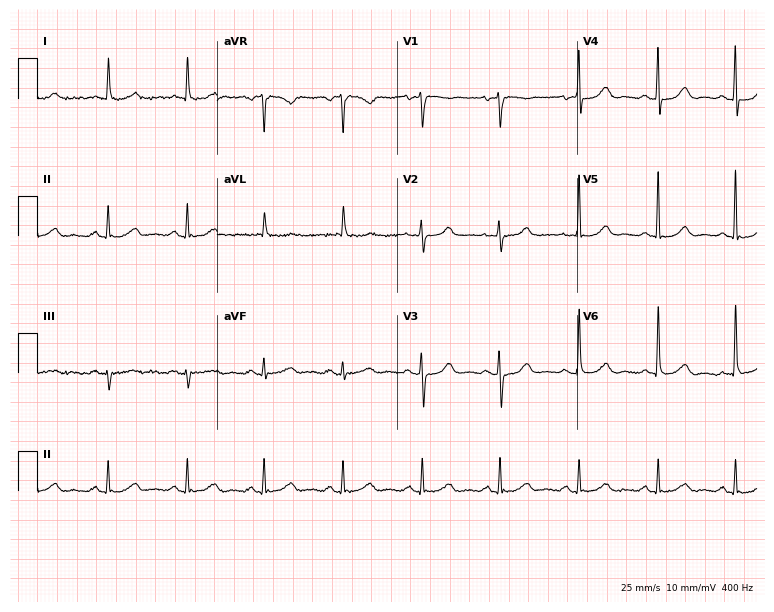
Electrocardiogram (7.3-second recording at 400 Hz), a female, 75 years old. Overall reading on record: normal ECG.